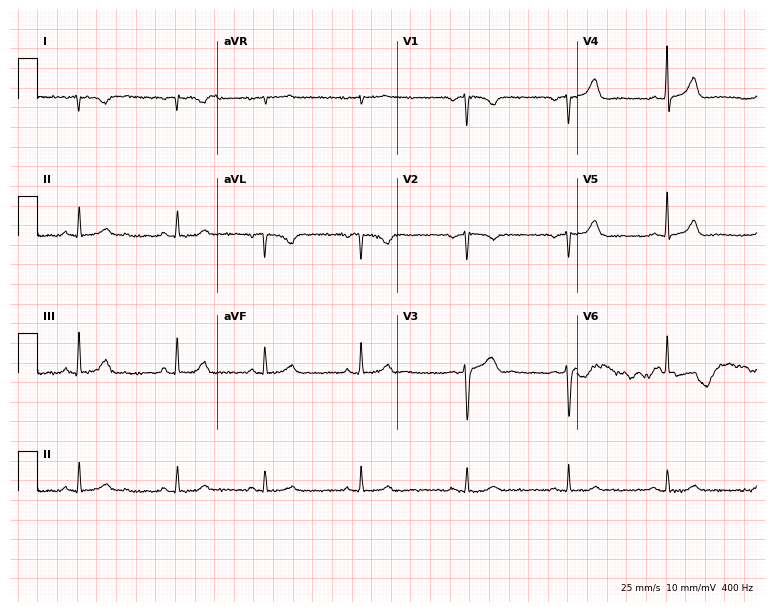
Electrocardiogram (7.3-second recording at 400 Hz), a 40-year-old female patient. Overall reading on record: normal ECG.